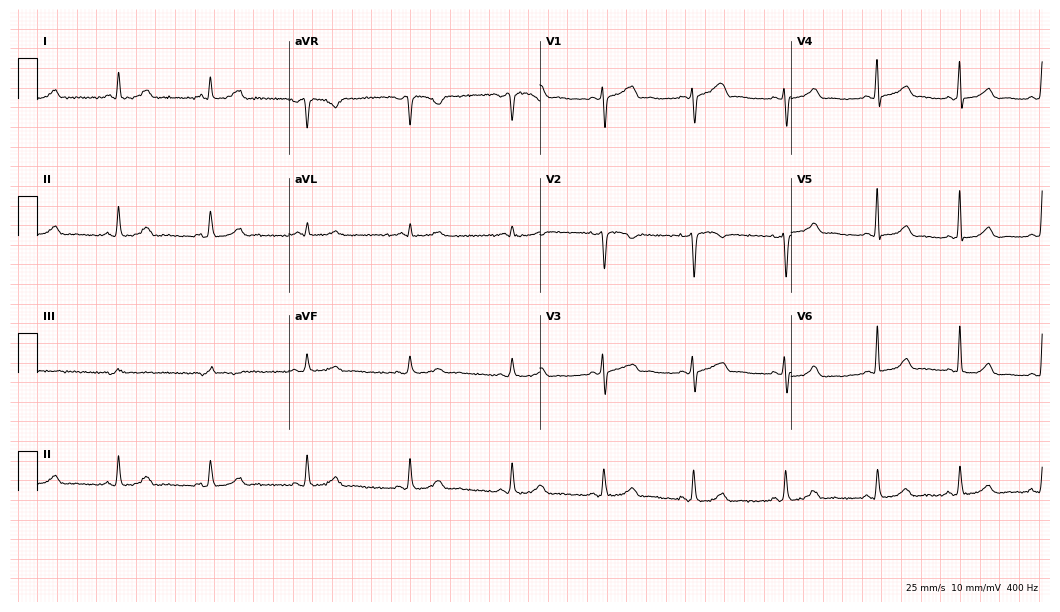
Electrocardiogram (10.2-second recording at 400 Hz), a female patient, 38 years old. Overall reading on record: normal ECG.